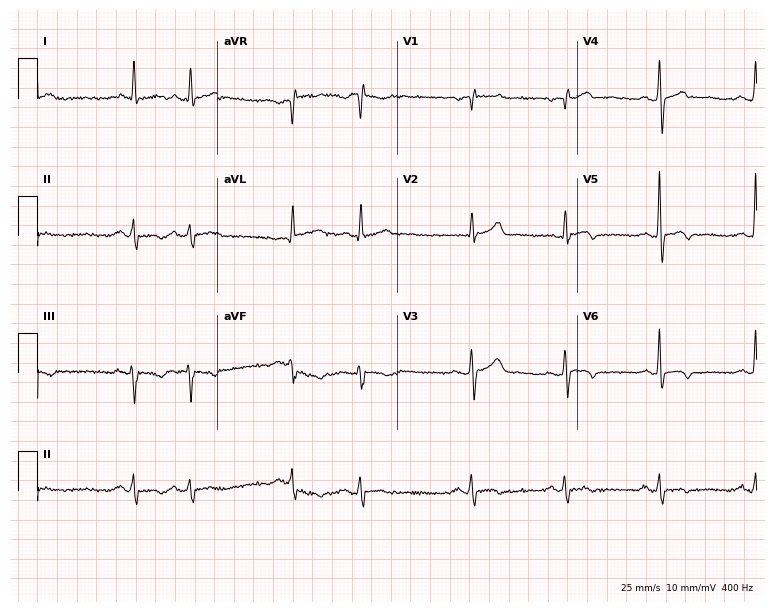
ECG — a man, 73 years old. Screened for six findings — first-degree AV block, right bundle branch block, left bundle branch block, sinus bradycardia, atrial fibrillation, sinus tachycardia — none is recorded.